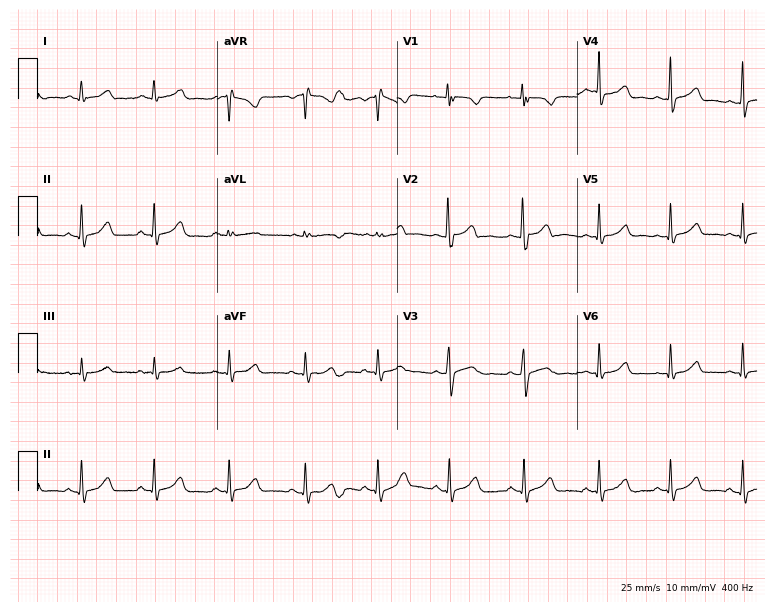
12-lead ECG (7.3-second recording at 400 Hz) from a 28-year-old woman. Labelled as a normal ECG.